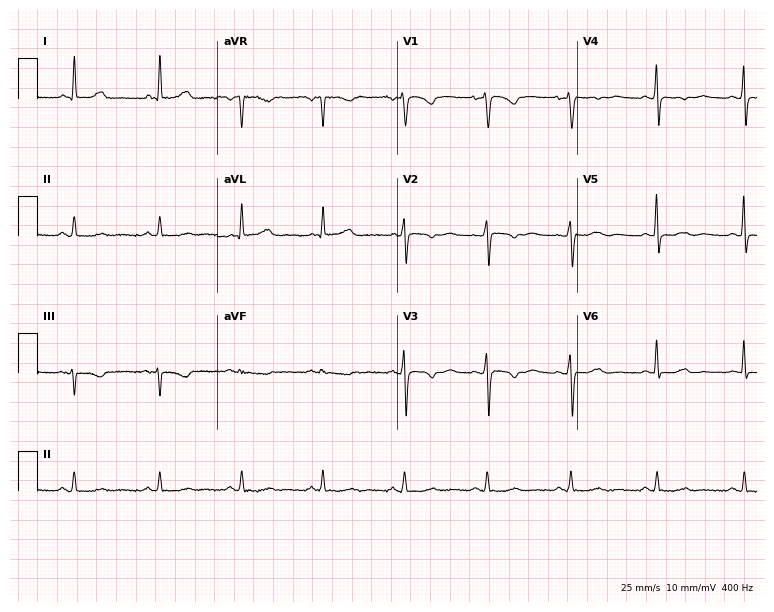
12-lead ECG from a 70-year-old female. Screened for six findings — first-degree AV block, right bundle branch block, left bundle branch block, sinus bradycardia, atrial fibrillation, sinus tachycardia — none is recorded.